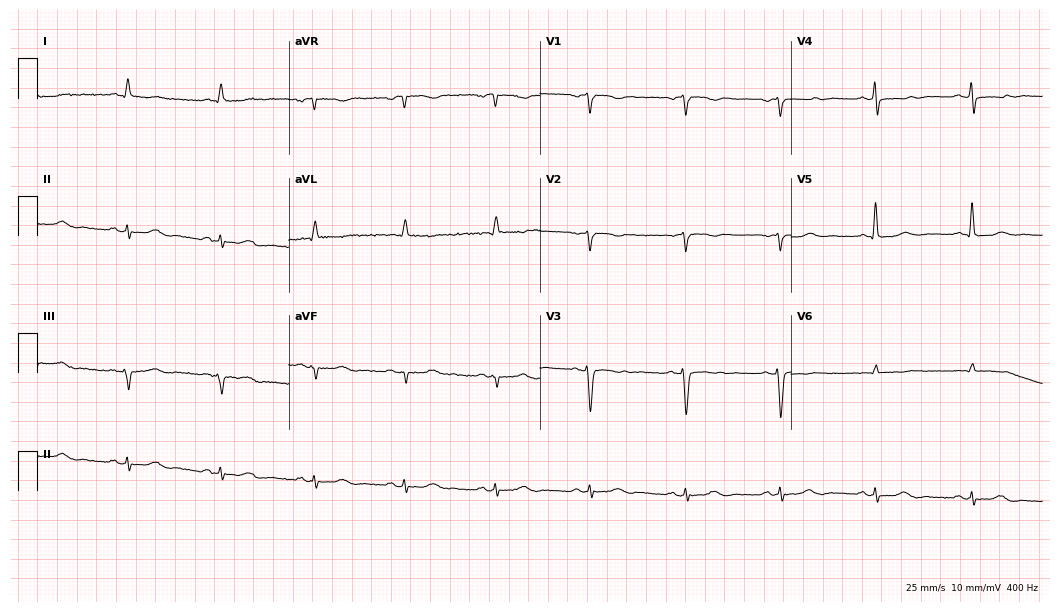
Electrocardiogram, a female, 56 years old. Of the six screened findings (first-degree AV block, right bundle branch block, left bundle branch block, sinus bradycardia, atrial fibrillation, sinus tachycardia), none is recorded. Only these six findings were labelled.